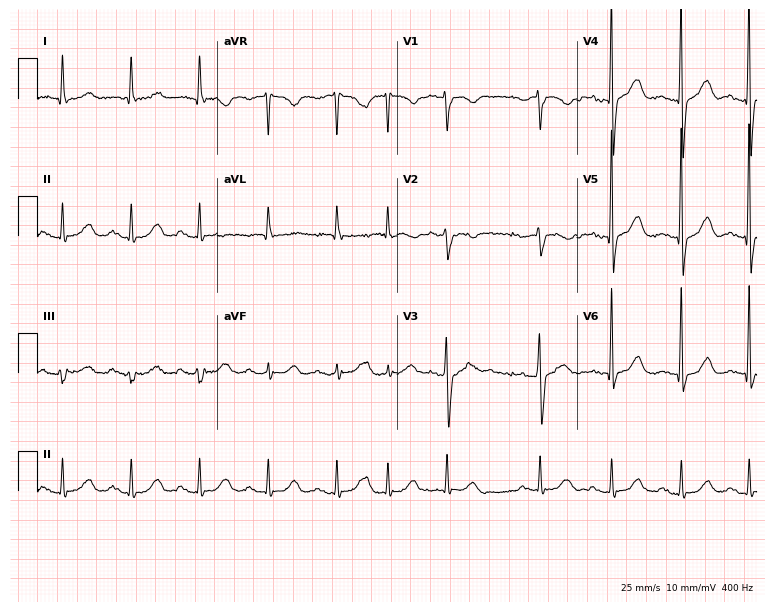
ECG (7.3-second recording at 400 Hz) — a 65-year-old female patient. Screened for six findings — first-degree AV block, right bundle branch block (RBBB), left bundle branch block (LBBB), sinus bradycardia, atrial fibrillation (AF), sinus tachycardia — none is recorded. Findings outside these six are not listed.